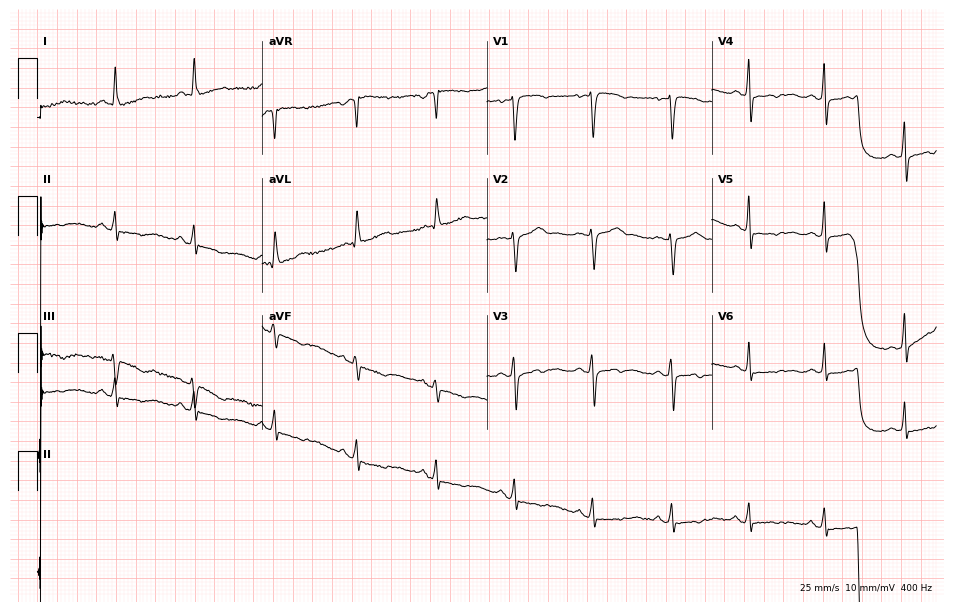
Electrocardiogram, a 56-year-old woman. Of the six screened findings (first-degree AV block, right bundle branch block (RBBB), left bundle branch block (LBBB), sinus bradycardia, atrial fibrillation (AF), sinus tachycardia), none is recorded. Only these six findings were labelled.